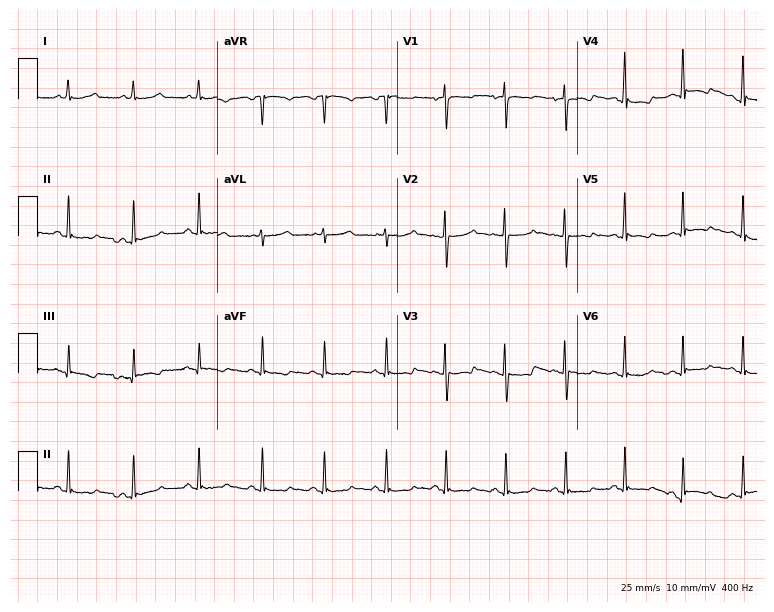
Standard 12-lead ECG recorded from a female patient, 26 years old (7.3-second recording at 400 Hz). None of these six findings is recorded: first-degree AV block, right bundle branch block, left bundle branch block, sinus bradycardia, atrial fibrillation, sinus tachycardia.